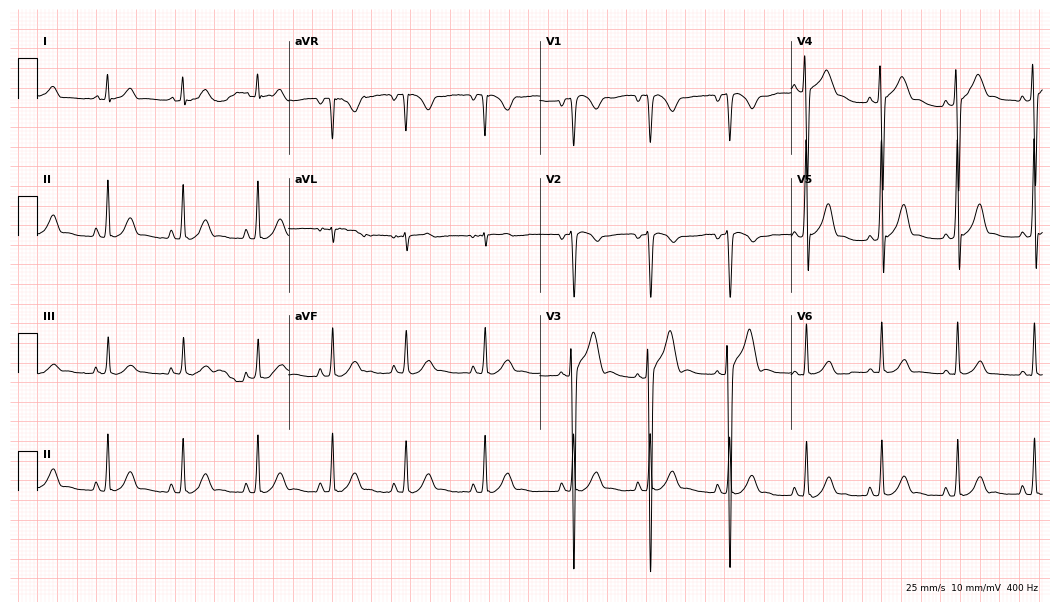
12-lead ECG from a 17-year-old man. Labelled as a normal ECG.